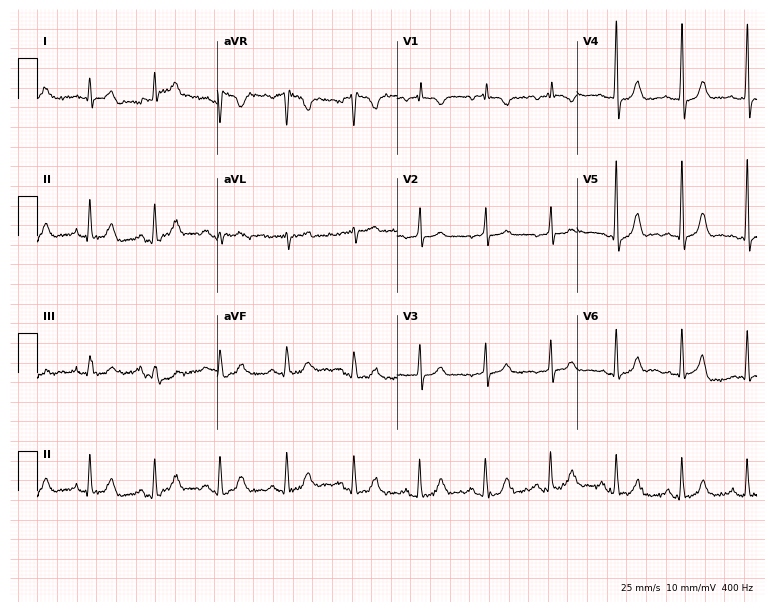
Electrocardiogram (7.3-second recording at 400 Hz), a female patient, 79 years old. Overall reading on record: normal ECG.